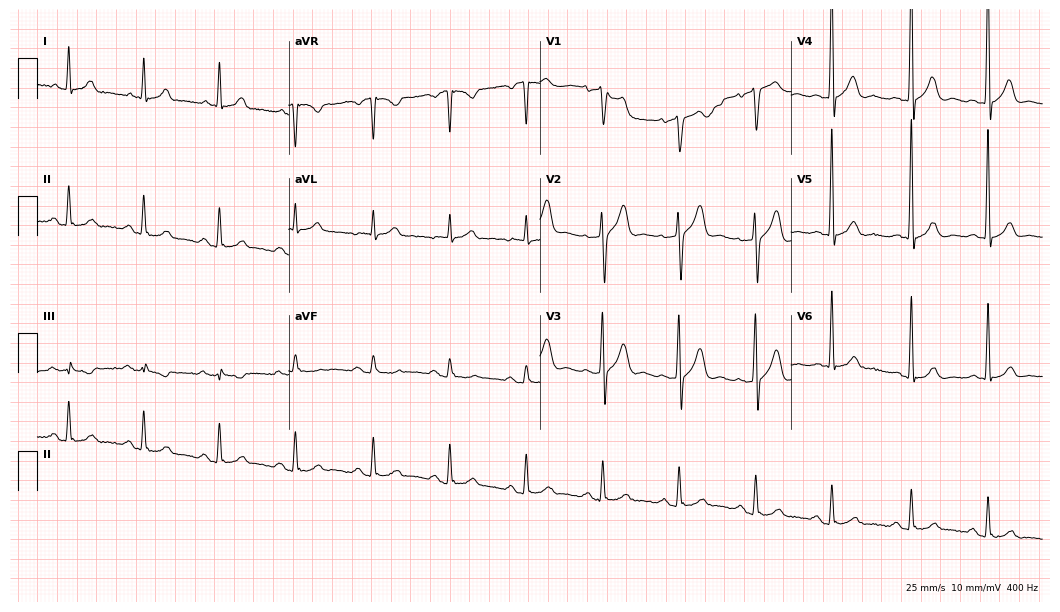
Electrocardiogram (10.2-second recording at 400 Hz), a male, 78 years old. Of the six screened findings (first-degree AV block, right bundle branch block, left bundle branch block, sinus bradycardia, atrial fibrillation, sinus tachycardia), none is recorded. Findings outside these six are not listed.